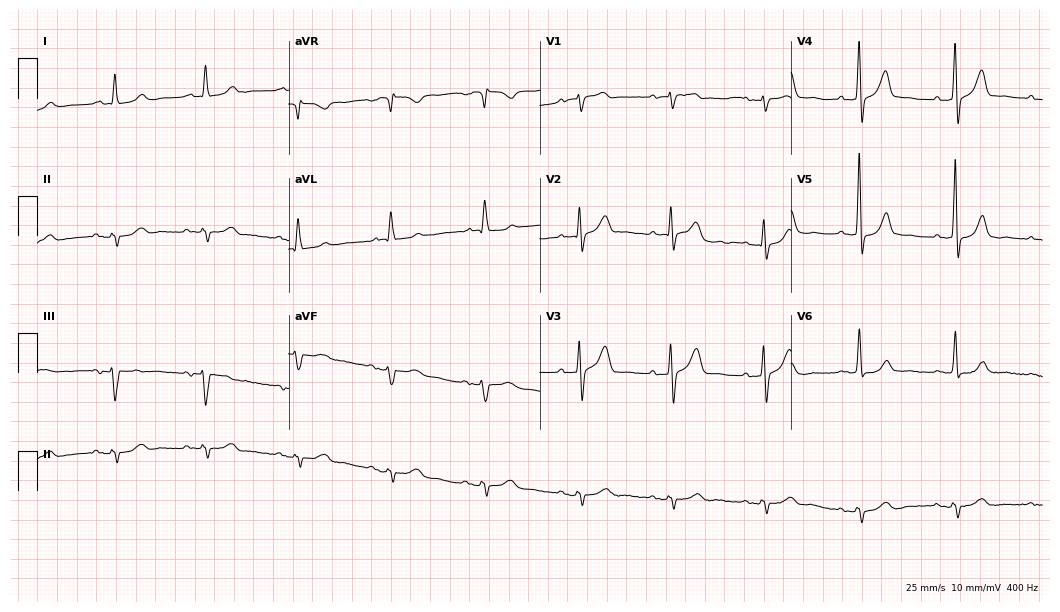
Electrocardiogram (10.2-second recording at 400 Hz), a male patient, 74 years old. Of the six screened findings (first-degree AV block, right bundle branch block (RBBB), left bundle branch block (LBBB), sinus bradycardia, atrial fibrillation (AF), sinus tachycardia), none is recorded. Other findings, if any, are not listed.